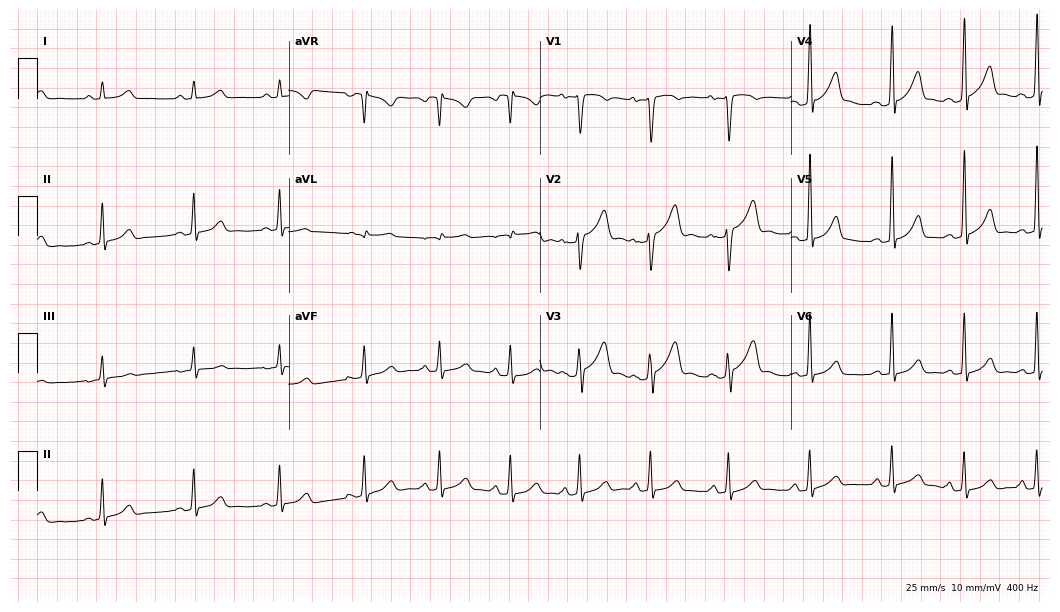
12-lead ECG from a male patient, 33 years old. Labelled as a normal ECG.